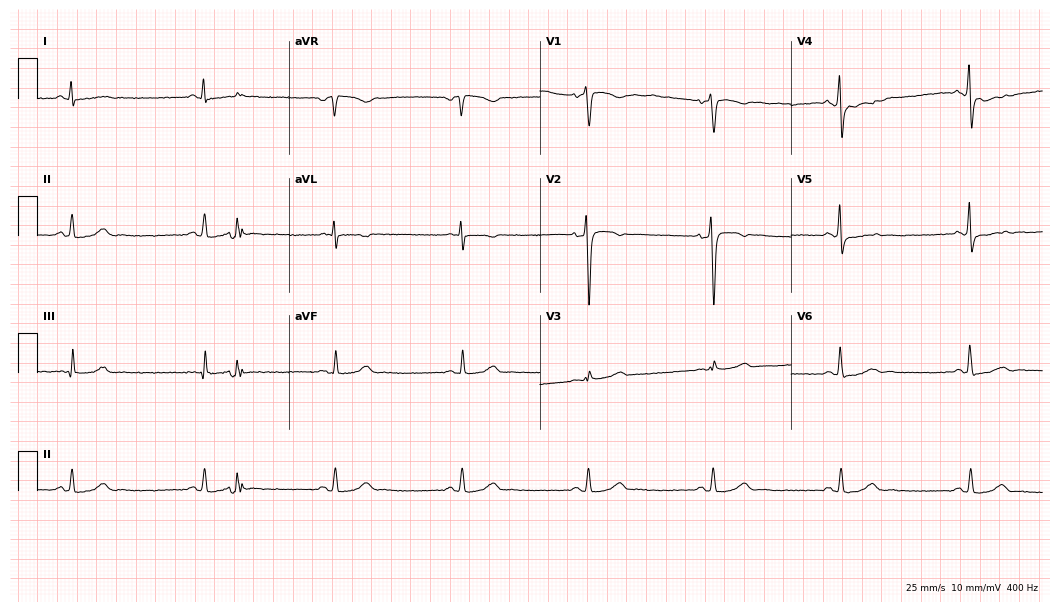
Standard 12-lead ECG recorded from a man, 61 years old (10.2-second recording at 400 Hz). The tracing shows sinus bradycardia (a sinus rate of 50 beats per minute or less).